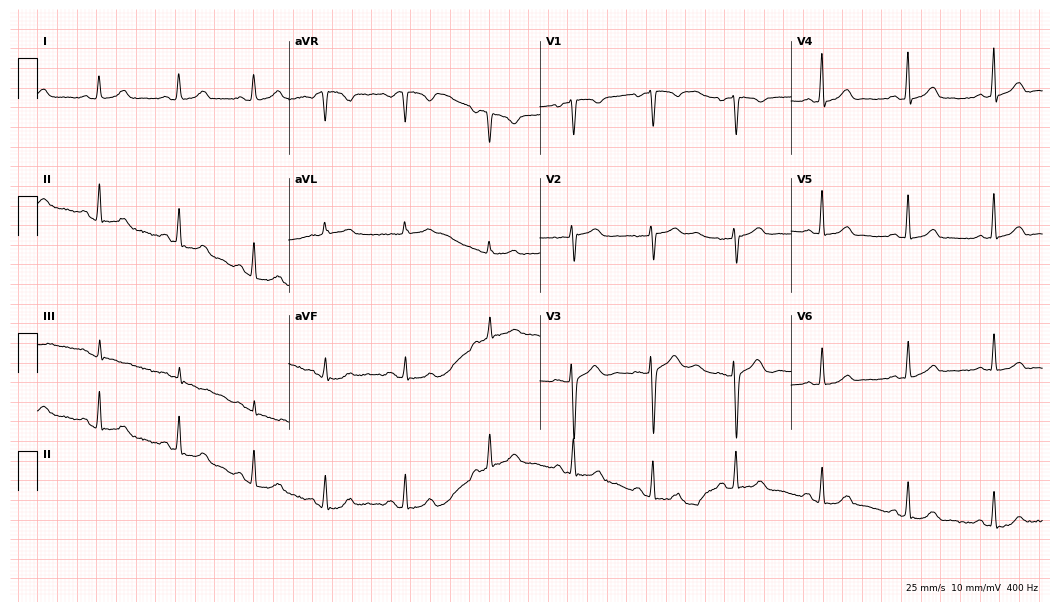
12-lead ECG (10.2-second recording at 400 Hz) from a female patient, 27 years old. Labelled as a normal ECG.